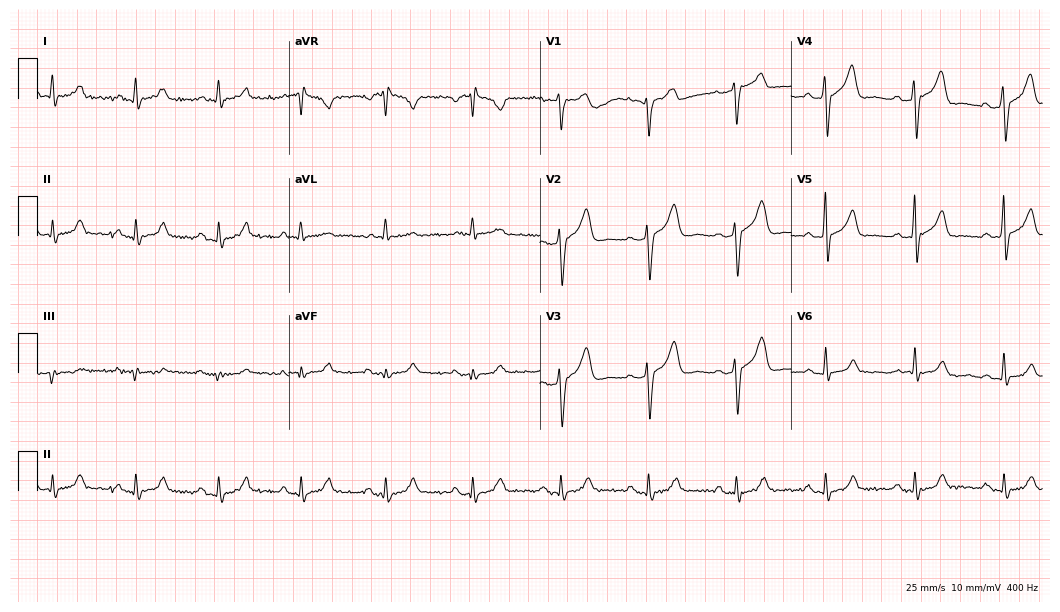
12-lead ECG (10.2-second recording at 400 Hz) from a 43-year-old male patient. Labelled as a normal ECG.